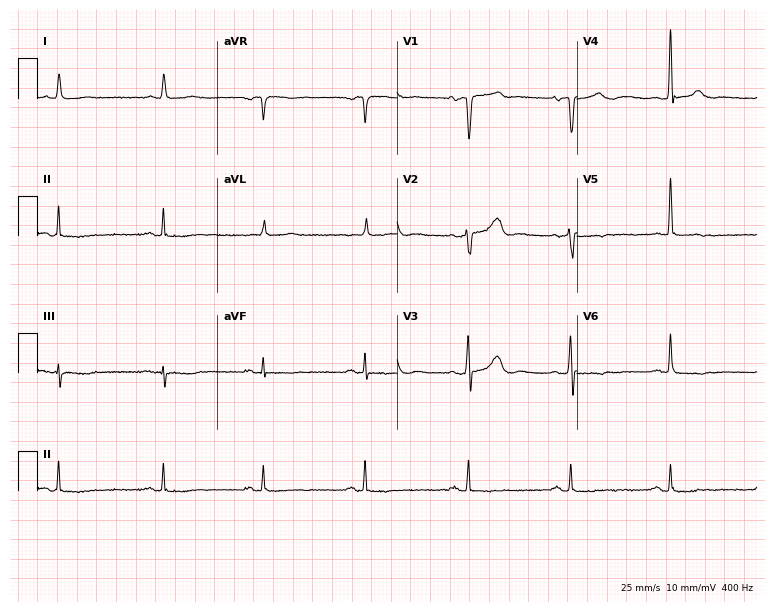
Resting 12-lead electrocardiogram (7.3-second recording at 400 Hz). Patient: an 82-year-old male. None of these six findings is recorded: first-degree AV block, right bundle branch block, left bundle branch block, sinus bradycardia, atrial fibrillation, sinus tachycardia. Only these six findings were labelled.